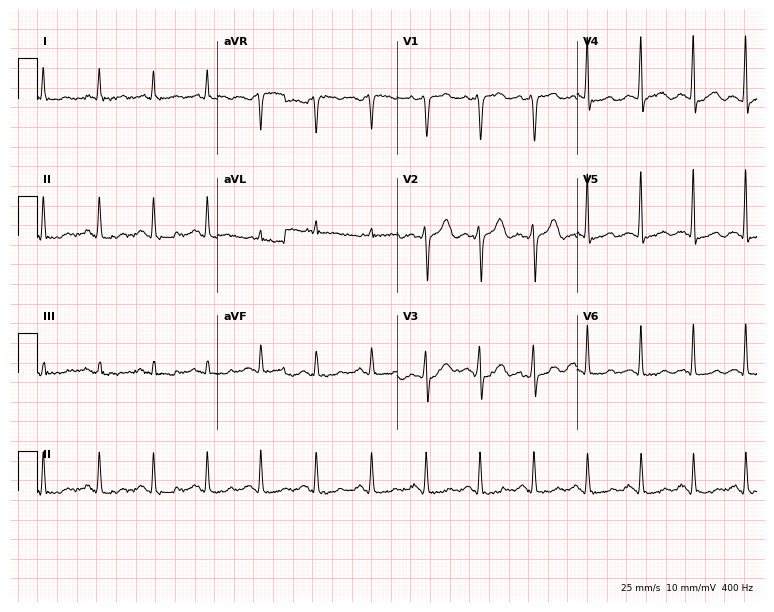
12-lead ECG (7.3-second recording at 400 Hz) from a man, 53 years old. Findings include sinus tachycardia (a sinus rate of 100 beats per minute or more).